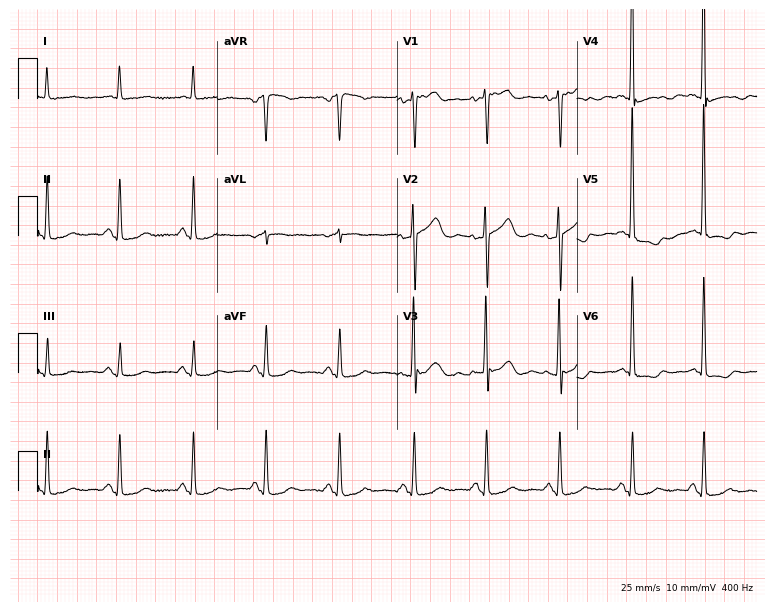
Resting 12-lead electrocardiogram. Patient: a female, 75 years old. None of these six findings is recorded: first-degree AV block, right bundle branch block, left bundle branch block, sinus bradycardia, atrial fibrillation, sinus tachycardia. Only these six findings were labelled.